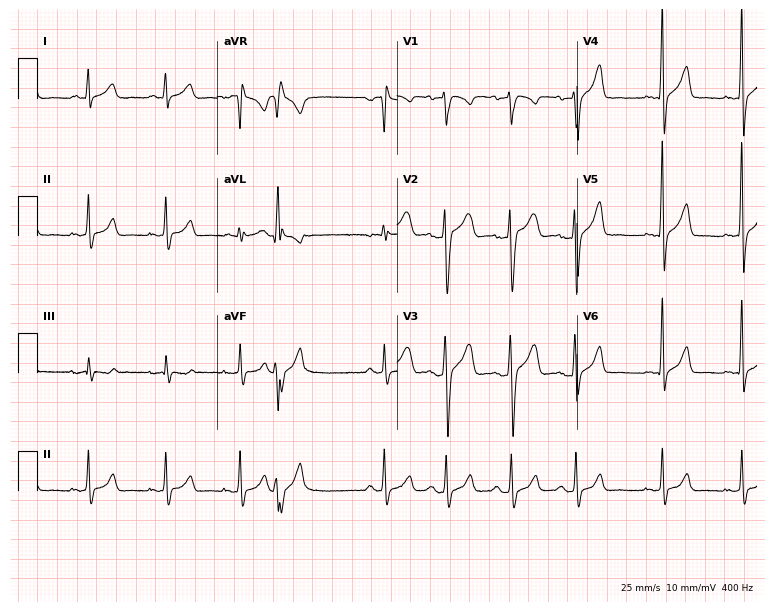
ECG — a 23-year-old male. Screened for six findings — first-degree AV block, right bundle branch block (RBBB), left bundle branch block (LBBB), sinus bradycardia, atrial fibrillation (AF), sinus tachycardia — none is recorded. Only these six findings were labelled.